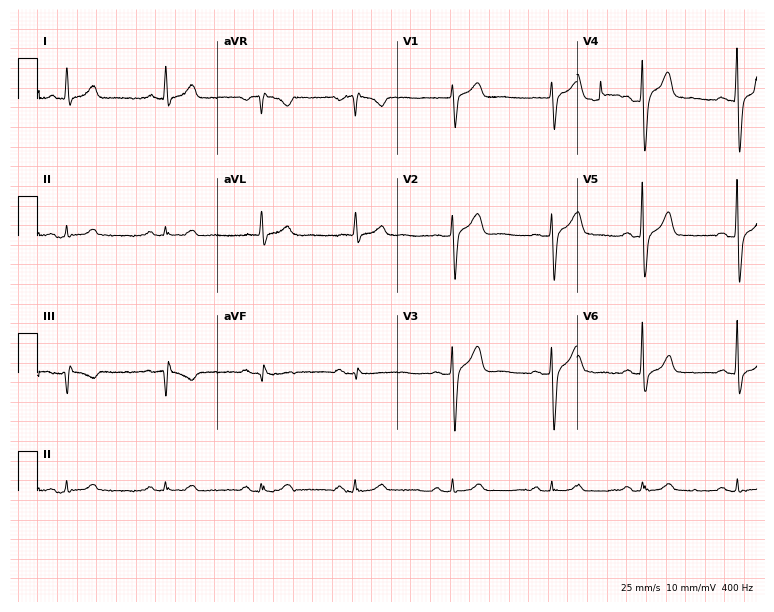
ECG (7.3-second recording at 400 Hz) — a 63-year-old male patient. Screened for six findings — first-degree AV block, right bundle branch block, left bundle branch block, sinus bradycardia, atrial fibrillation, sinus tachycardia — none is recorded. Only these six findings were labelled.